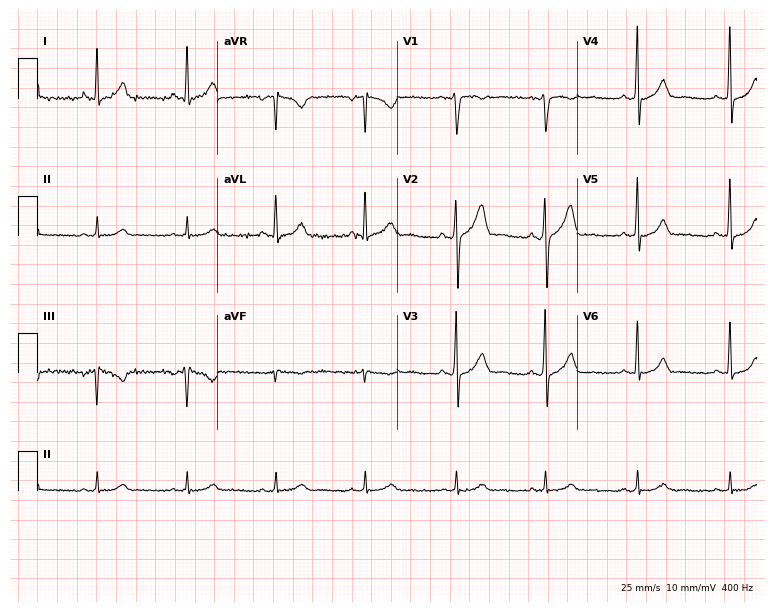
Standard 12-lead ECG recorded from a male, 51 years old. Read as a normal ECG.